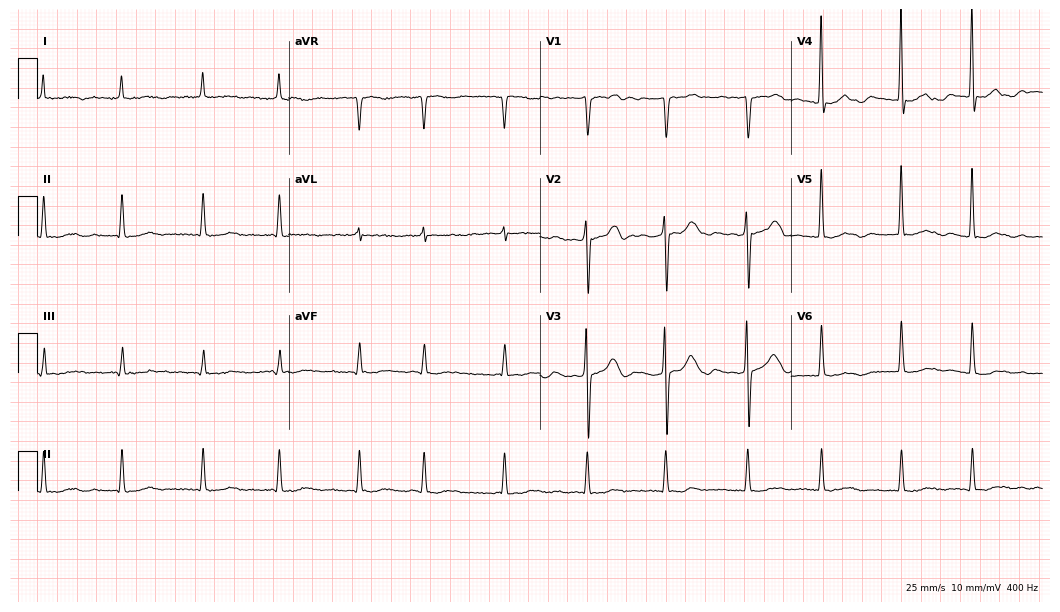
Resting 12-lead electrocardiogram (10.2-second recording at 400 Hz). Patient: a female, 78 years old. None of these six findings is recorded: first-degree AV block, right bundle branch block, left bundle branch block, sinus bradycardia, atrial fibrillation, sinus tachycardia.